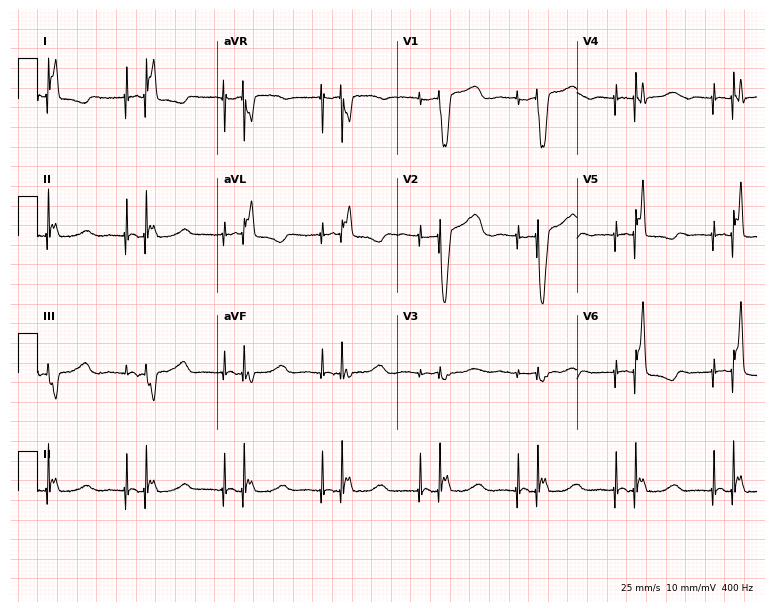
Standard 12-lead ECG recorded from a 72-year-old female patient (7.3-second recording at 400 Hz). None of these six findings is recorded: first-degree AV block, right bundle branch block, left bundle branch block, sinus bradycardia, atrial fibrillation, sinus tachycardia. Only these six findings were labelled.